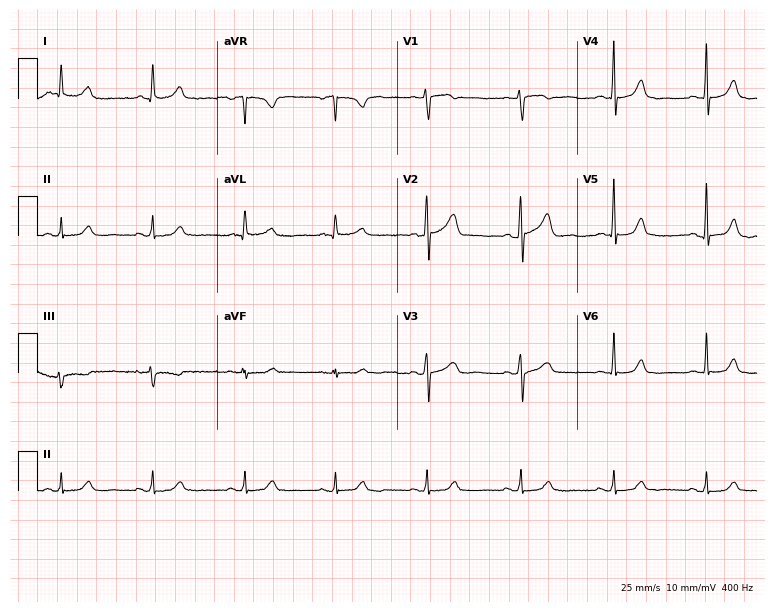
ECG (7.3-second recording at 400 Hz) — an 81-year-old female patient. Labelled as a normal ECG.